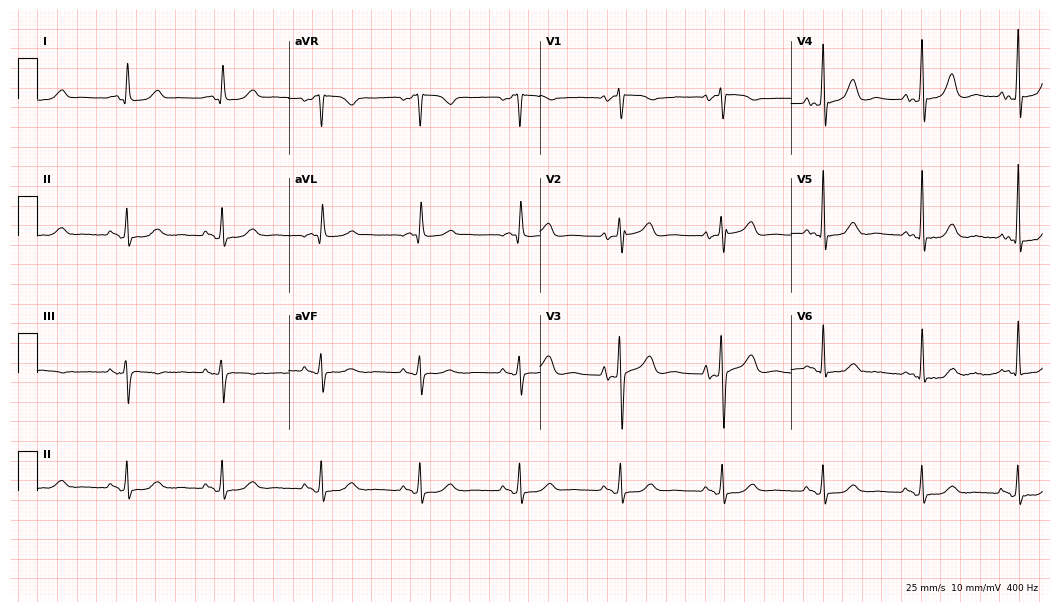
12-lead ECG from a female patient, 73 years old. Recorded interpretation: within normal limits.